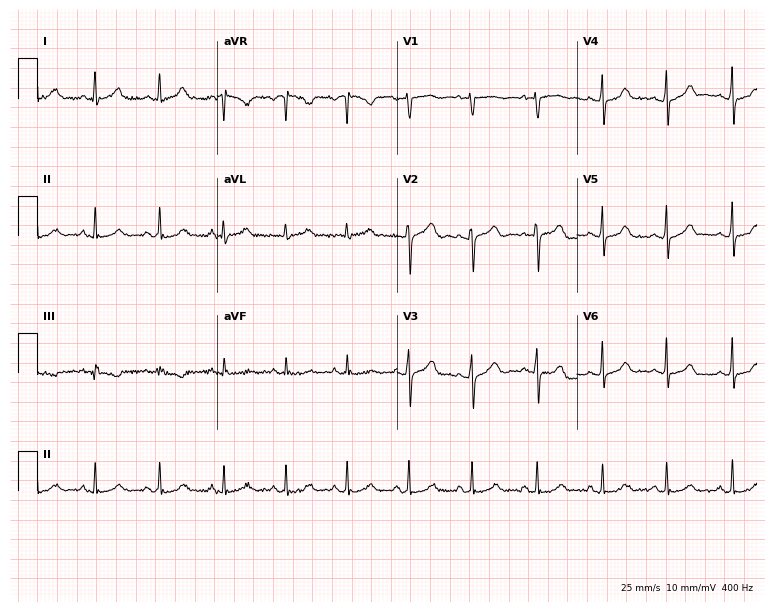
12-lead ECG from a 26-year-old male patient. Recorded interpretation: within normal limits.